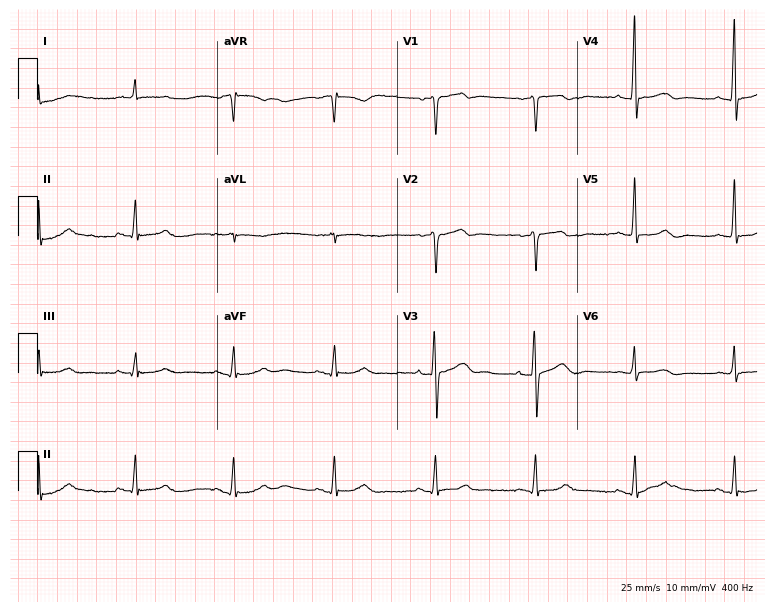
Resting 12-lead electrocardiogram. Patient: a 70-year-old man. Read as a normal ECG.